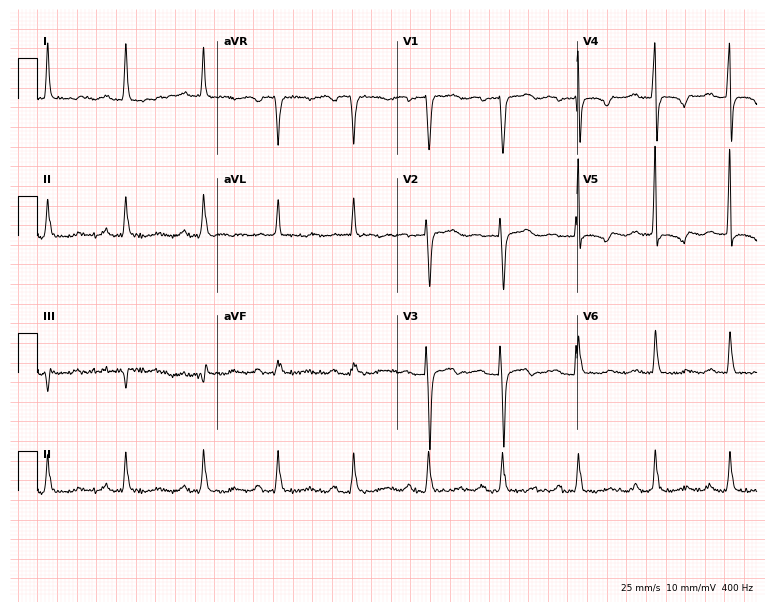
Electrocardiogram (7.3-second recording at 400 Hz), a 73-year-old male. Interpretation includes first-degree AV block.